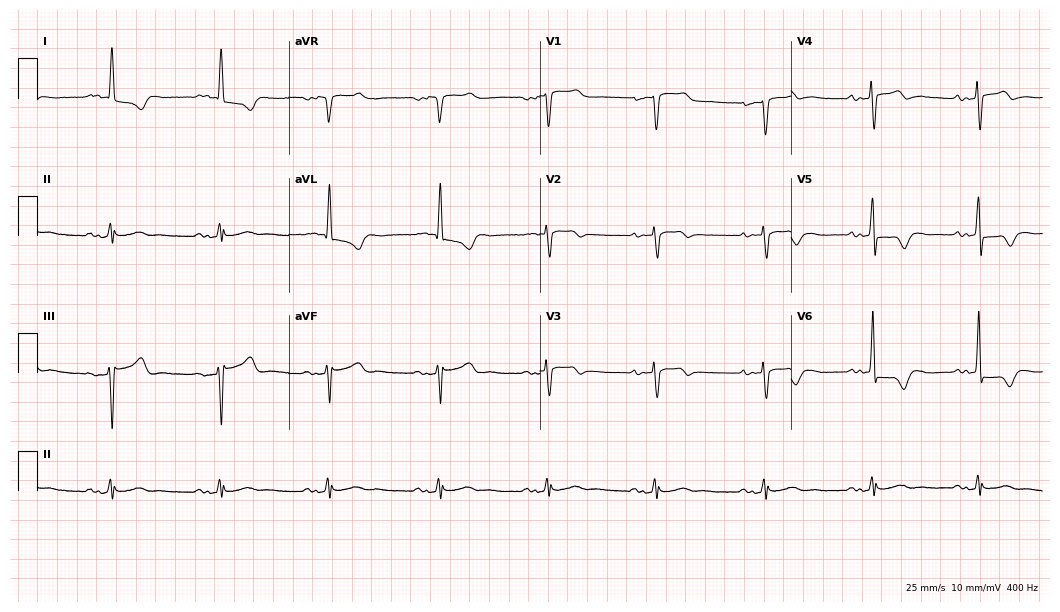
12-lead ECG from a 76-year-old male. Screened for six findings — first-degree AV block, right bundle branch block, left bundle branch block, sinus bradycardia, atrial fibrillation, sinus tachycardia — none is recorded. Only these six findings were labelled.